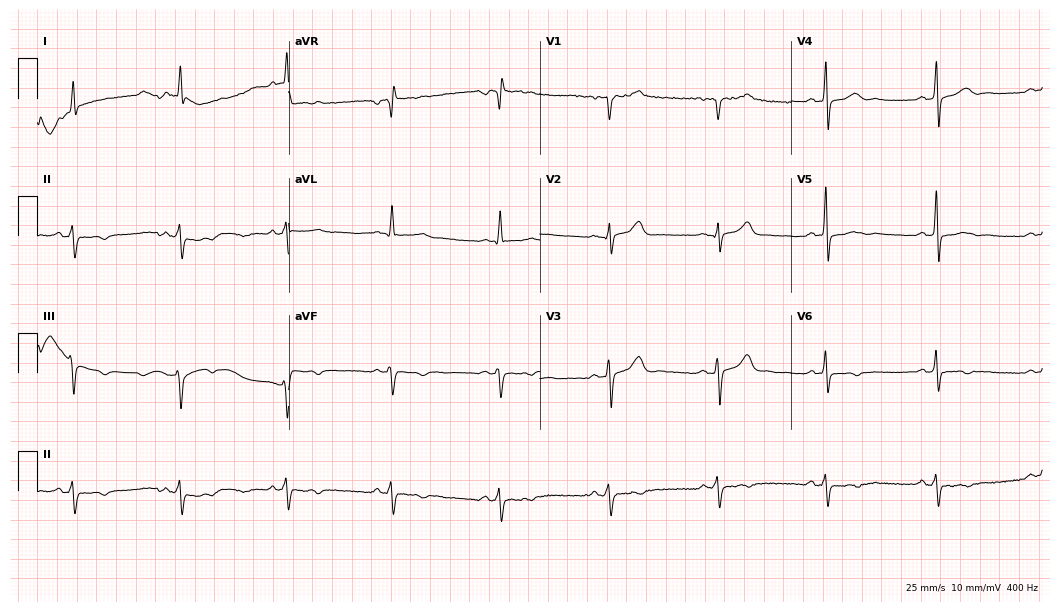
12-lead ECG from a 63-year-old man. No first-degree AV block, right bundle branch block, left bundle branch block, sinus bradycardia, atrial fibrillation or sinus tachycardia recorded for this tracing.